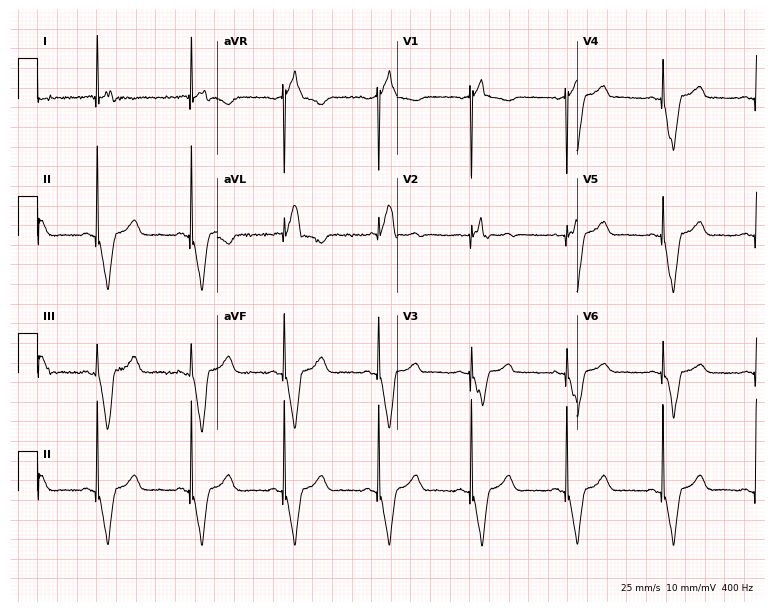
Standard 12-lead ECG recorded from a 74-year-old man (7.3-second recording at 400 Hz). None of these six findings is recorded: first-degree AV block, right bundle branch block, left bundle branch block, sinus bradycardia, atrial fibrillation, sinus tachycardia.